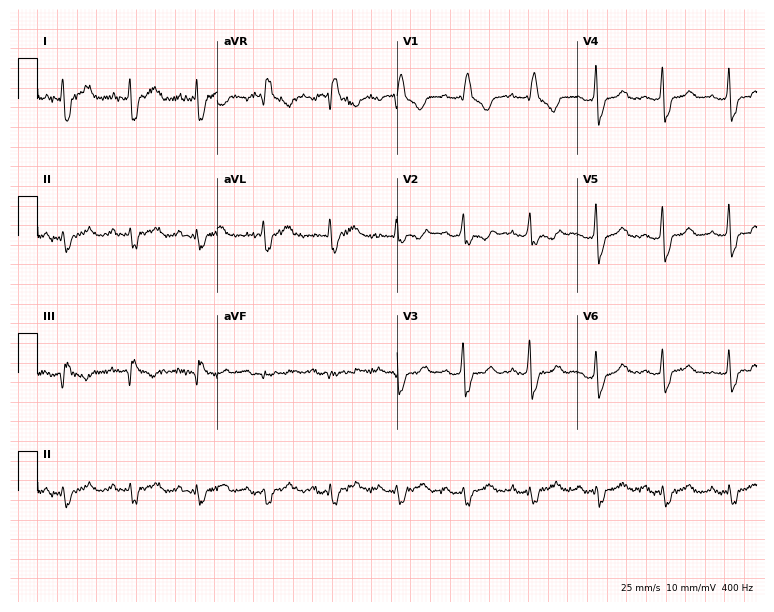
12-lead ECG from a 51-year-old female patient. Findings include right bundle branch block.